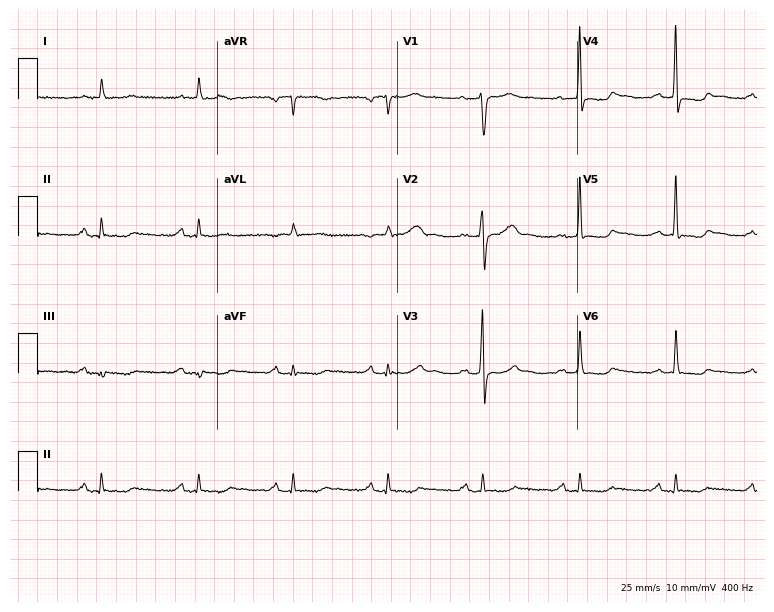
Resting 12-lead electrocardiogram (7.3-second recording at 400 Hz). Patient: a male, 74 years old. None of these six findings is recorded: first-degree AV block, right bundle branch block, left bundle branch block, sinus bradycardia, atrial fibrillation, sinus tachycardia.